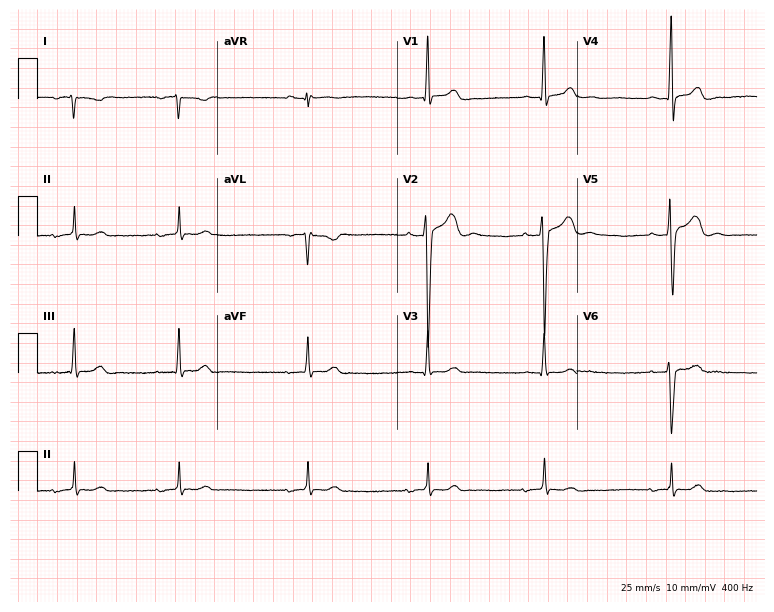
12-lead ECG from a male, 20 years old (7.3-second recording at 400 Hz). No first-degree AV block, right bundle branch block, left bundle branch block, sinus bradycardia, atrial fibrillation or sinus tachycardia recorded for this tracing. Findings outside these six are not listed.